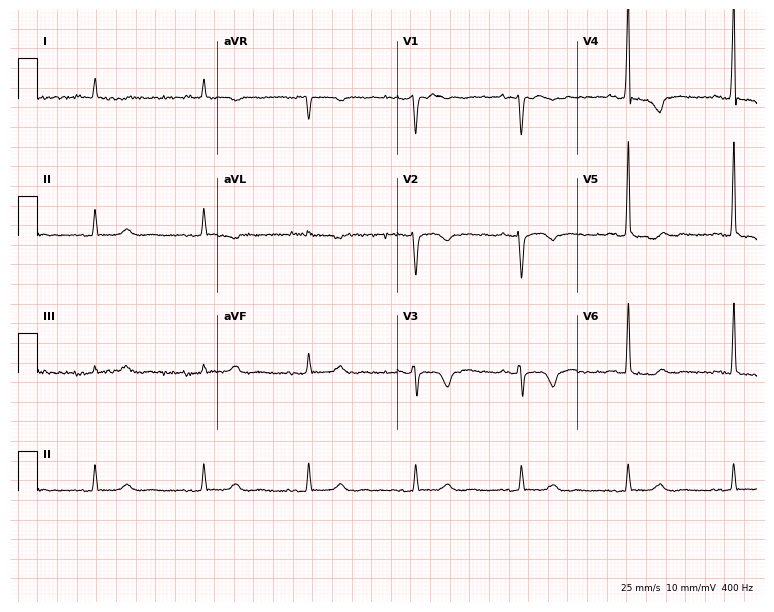
ECG (7.3-second recording at 400 Hz) — a woman, 83 years old. Screened for six findings — first-degree AV block, right bundle branch block (RBBB), left bundle branch block (LBBB), sinus bradycardia, atrial fibrillation (AF), sinus tachycardia — none is recorded.